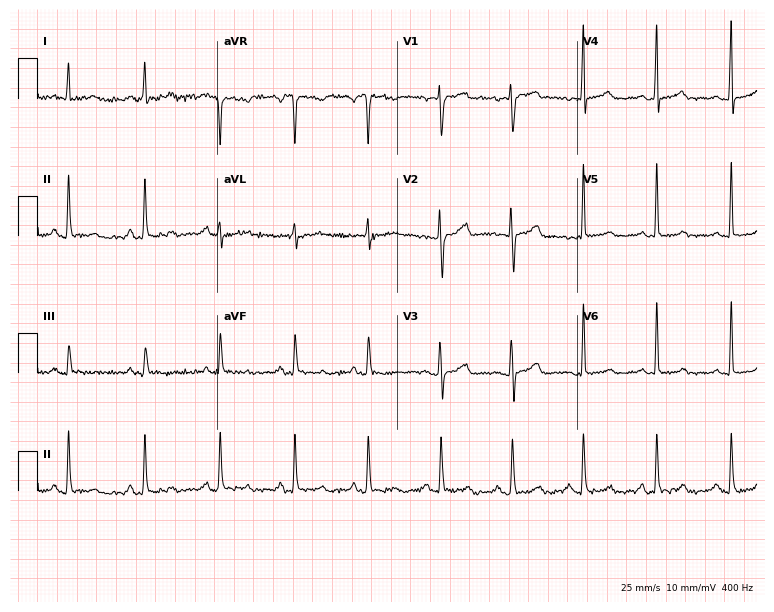
12-lead ECG (7.3-second recording at 400 Hz) from a woman, 48 years old. Screened for six findings — first-degree AV block, right bundle branch block, left bundle branch block, sinus bradycardia, atrial fibrillation, sinus tachycardia — none is recorded. Other findings, if any, are not listed.